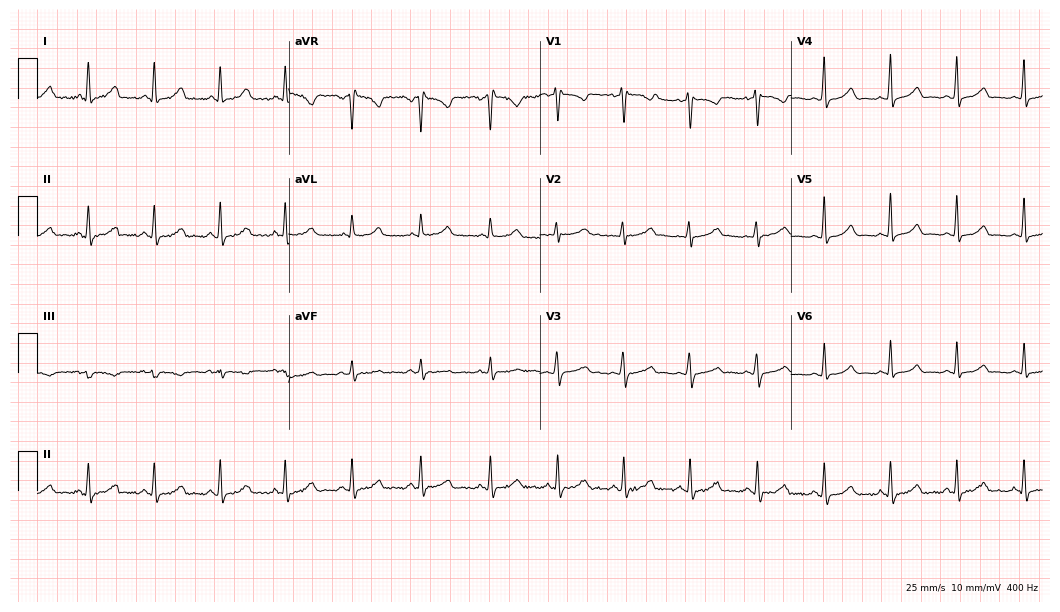
ECG — a woman, 30 years old. Labelled as a normal ECG.